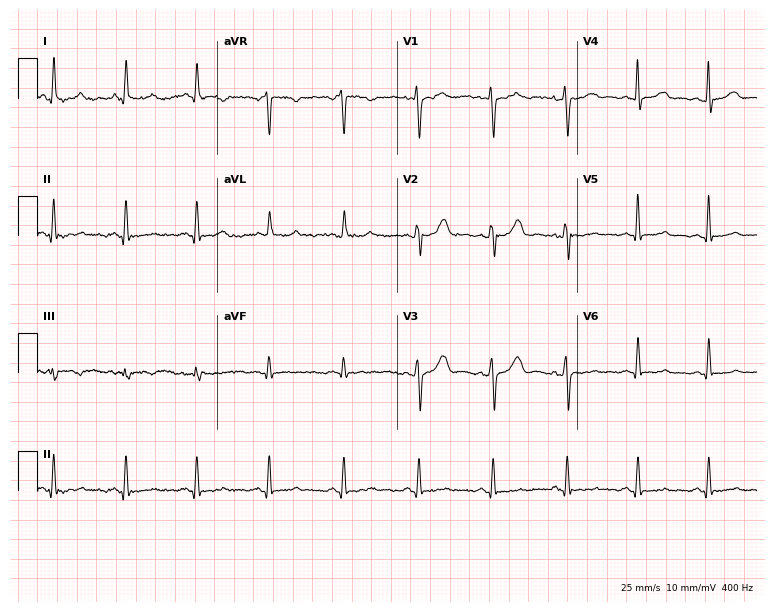
Standard 12-lead ECG recorded from a 37-year-old female. None of these six findings is recorded: first-degree AV block, right bundle branch block, left bundle branch block, sinus bradycardia, atrial fibrillation, sinus tachycardia. Findings outside these six are not listed.